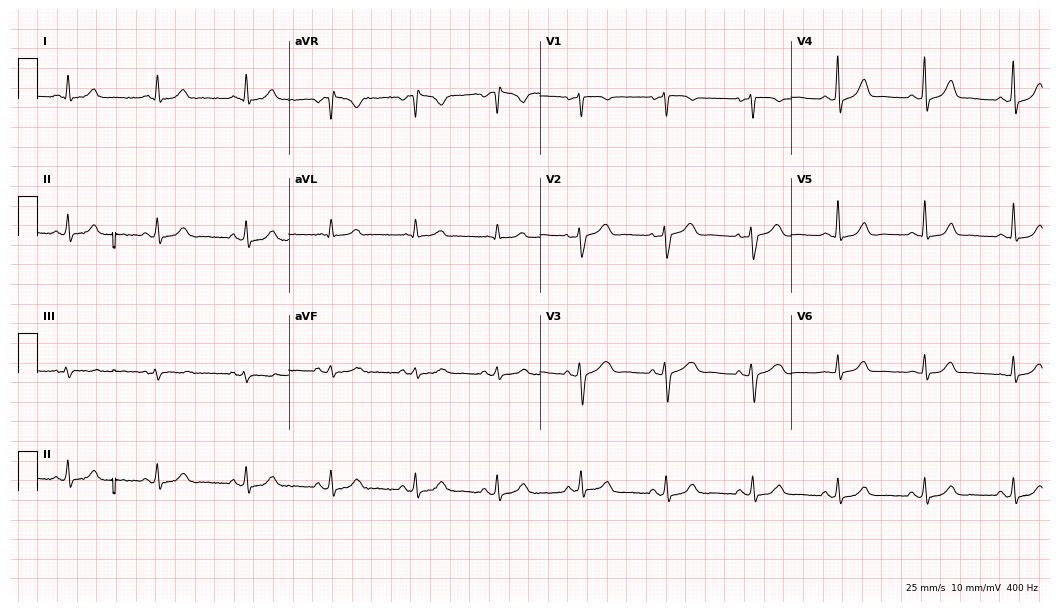
Standard 12-lead ECG recorded from a woman, 48 years old. Read as a normal ECG.